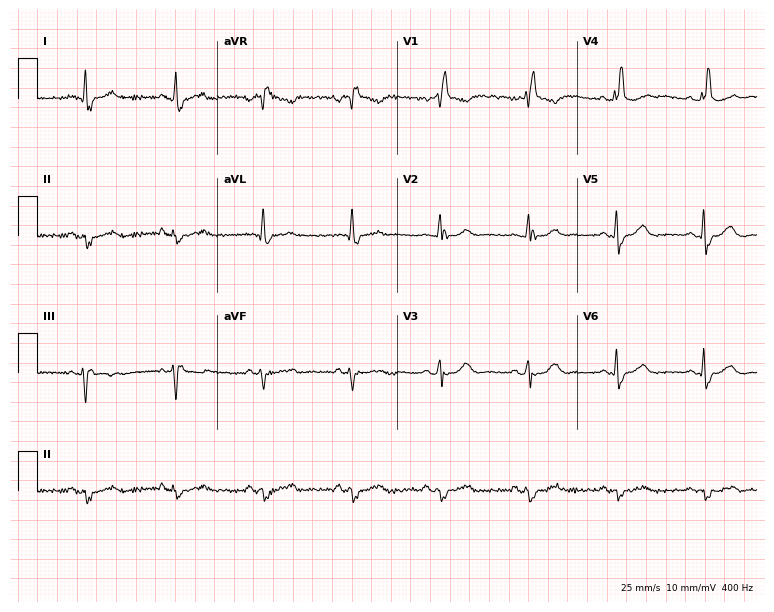
Resting 12-lead electrocardiogram. Patient: a 74-year-old female. None of these six findings is recorded: first-degree AV block, right bundle branch block (RBBB), left bundle branch block (LBBB), sinus bradycardia, atrial fibrillation (AF), sinus tachycardia. Other findings, if any, are not listed.